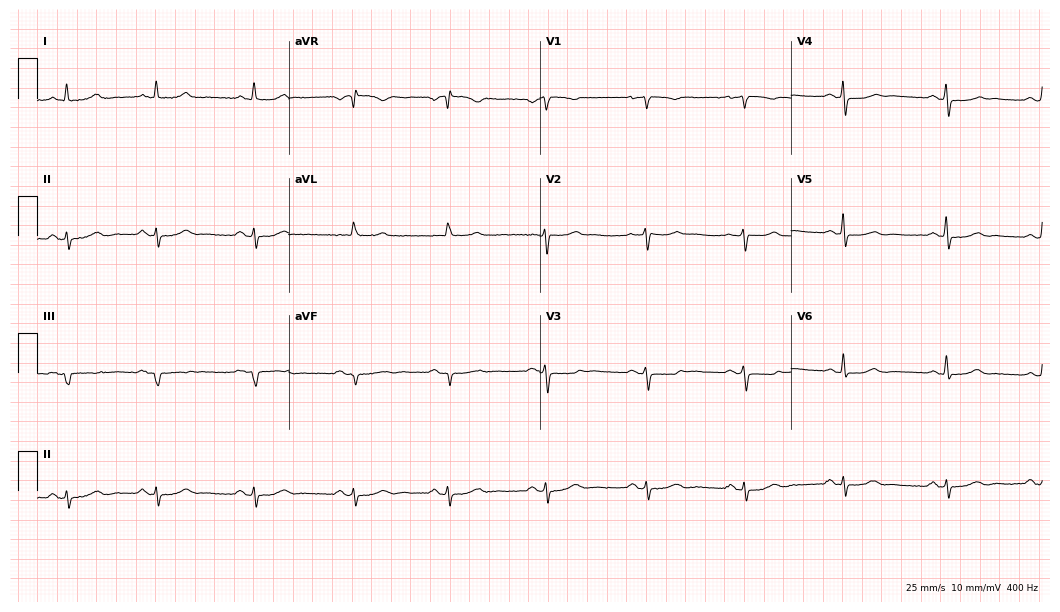
Standard 12-lead ECG recorded from a female, 46 years old (10.2-second recording at 400 Hz). None of these six findings is recorded: first-degree AV block, right bundle branch block, left bundle branch block, sinus bradycardia, atrial fibrillation, sinus tachycardia.